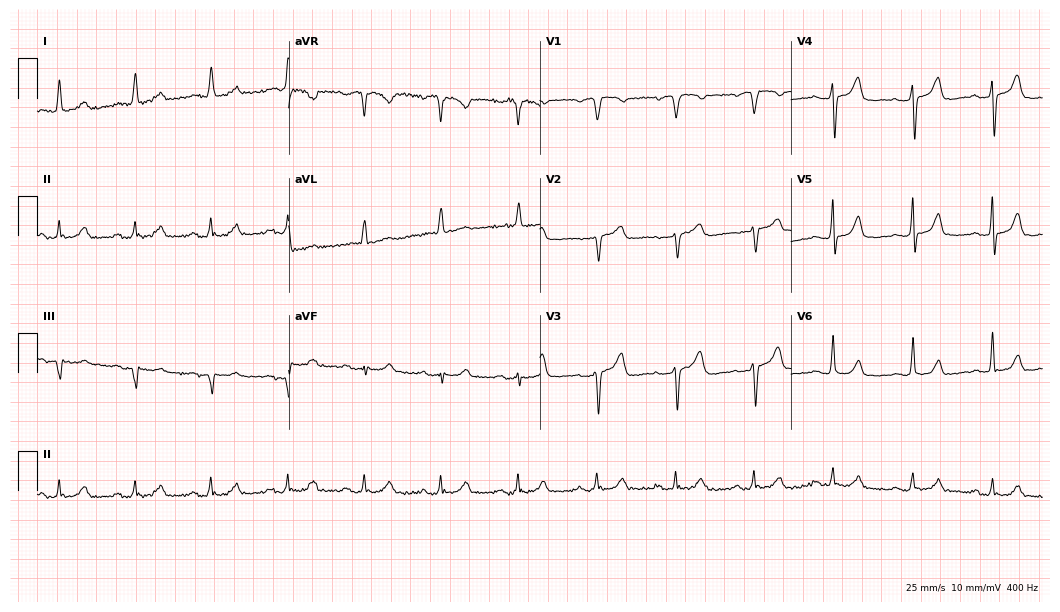
Standard 12-lead ECG recorded from a woman, 84 years old. Read as a normal ECG.